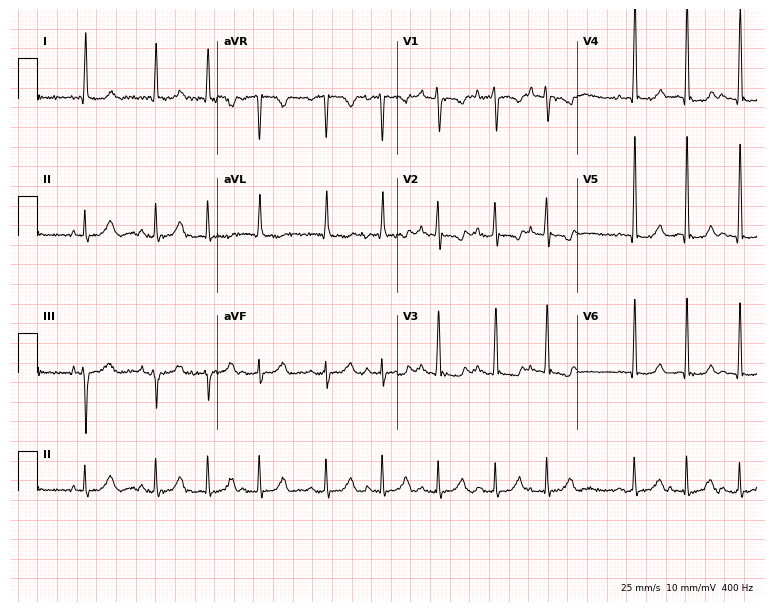
12-lead ECG from a woman, 81 years old. Screened for six findings — first-degree AV block, right bundle branch block, left bundle branch block, sinus bradycardia, atrial fibrillation, sinus tachycardia — none is recorded.